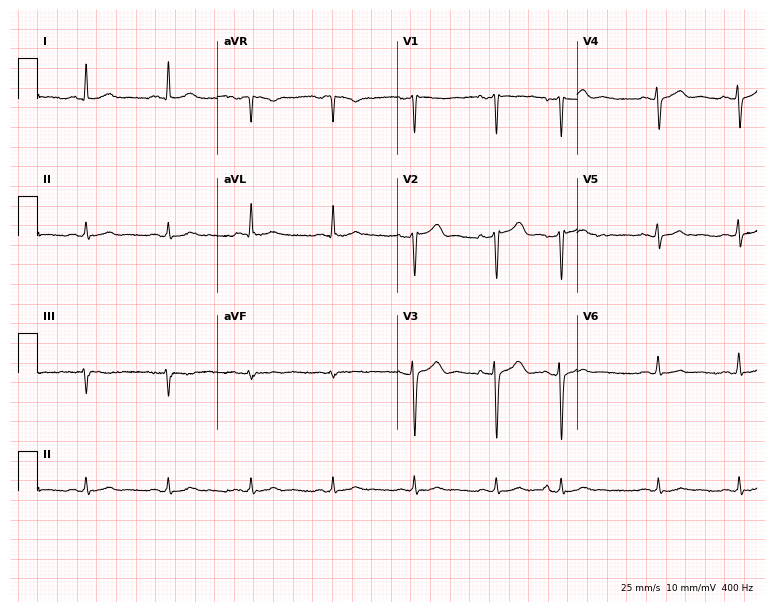
Electrocardiogram (7.3-second recording at 400 Hz), a male patient, 45 years old. Of the six screened findings (first-degree AV block, right bundle branch block, left bundle branch block, sinus bradycardia, atrial fibrillation, sinus tachycardia), none is recorded.